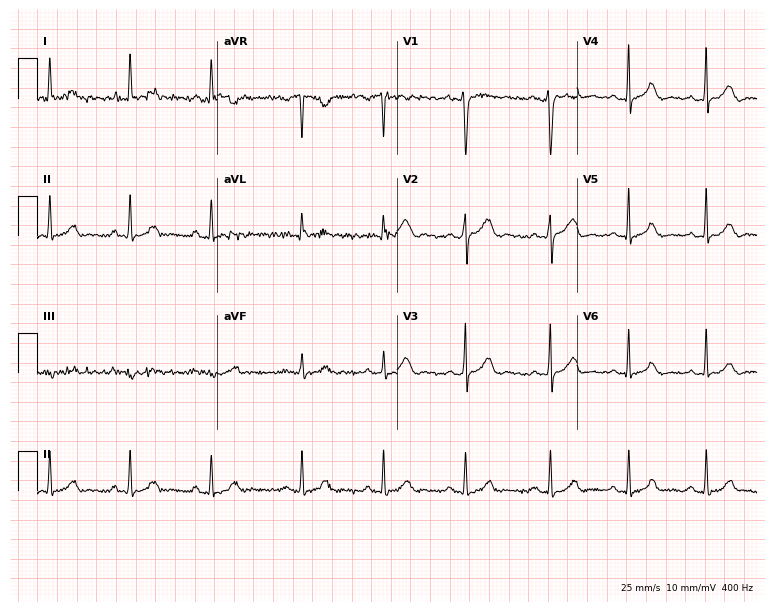
12-lead ECG from a 24-year-old female patient. Recorded interpretation: within normal limits.